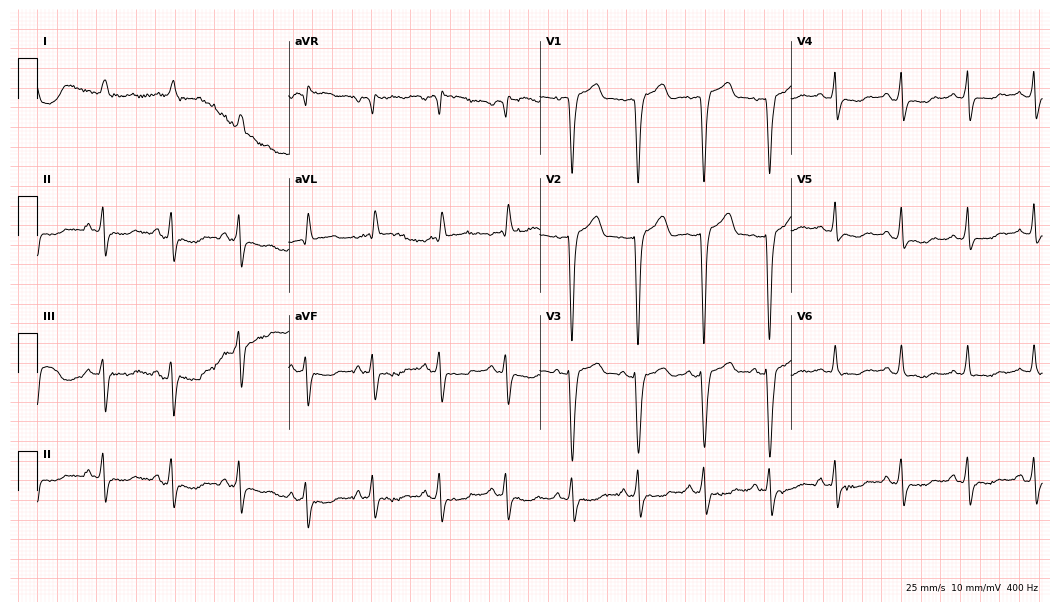
Electrocardiogram, a man, 76 years old. Interpretation includes left bundle branch block.